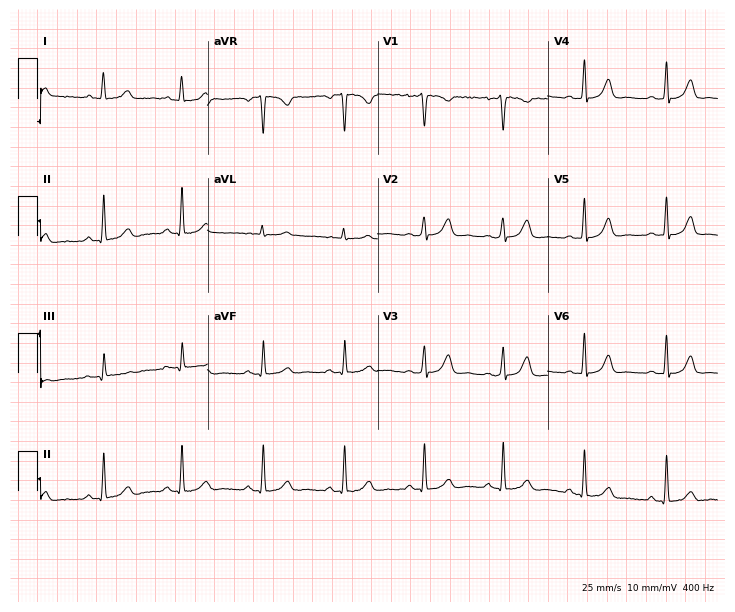
Resting 12-lead electrocardiogram. Patient: a 36-year-old woman. None of these six findings is recorded: first-degree AV block, right bundle branch block (RBBB), left bundle branch block (LBBB), sinus bradycardia, atrial fibrillation (AF), sinus tachycardia.